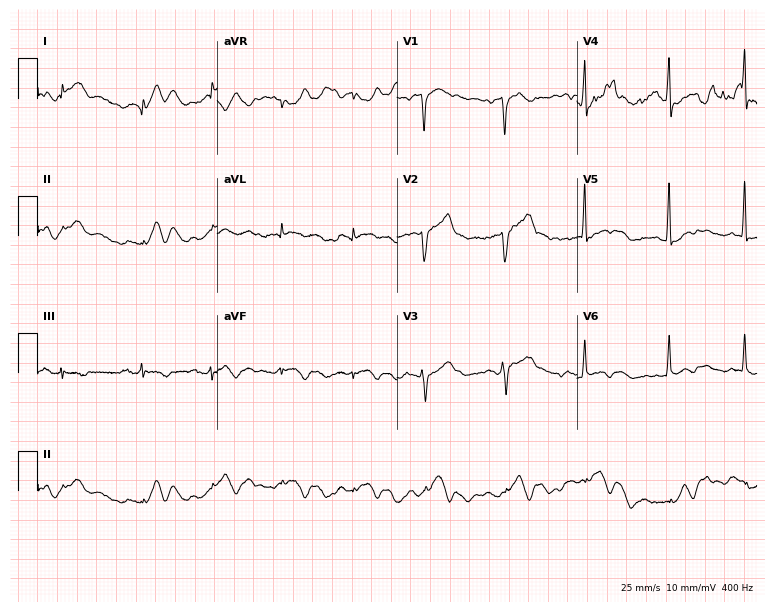
Standard 12-lead ECG recorded from a male, 69 years old. None of these six findings is recorded: first-degree AV block, right bundle branch block, left bundle branch block, sinus bradycardia, atrial fibrillation, sinus tachycardia. Findings outside these six are not listed.